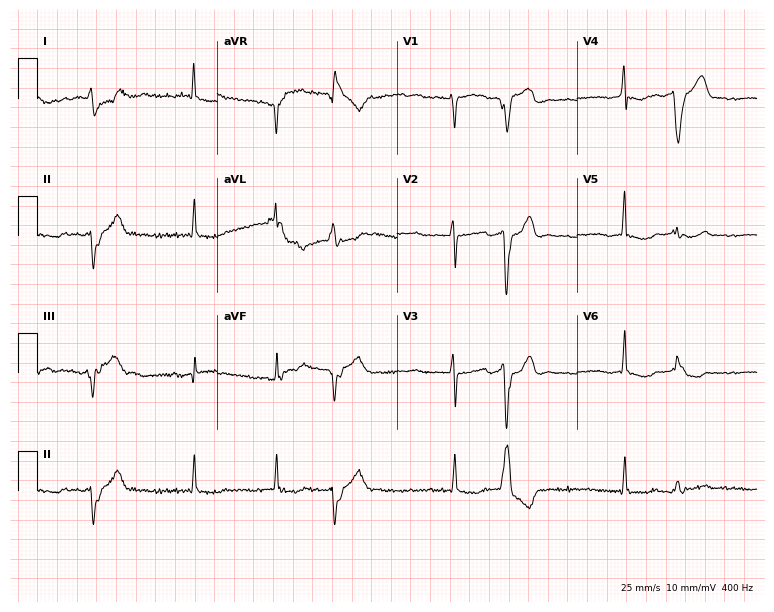
12-lead ECG from a 55-year-old female. Screened for six findings — first-degree AV block, right bundle branch block, left bundle branch block, sinus bradycardia, atrial fibrillation, sinus tachycardia — none is recorded. Only these six findings were labelled.